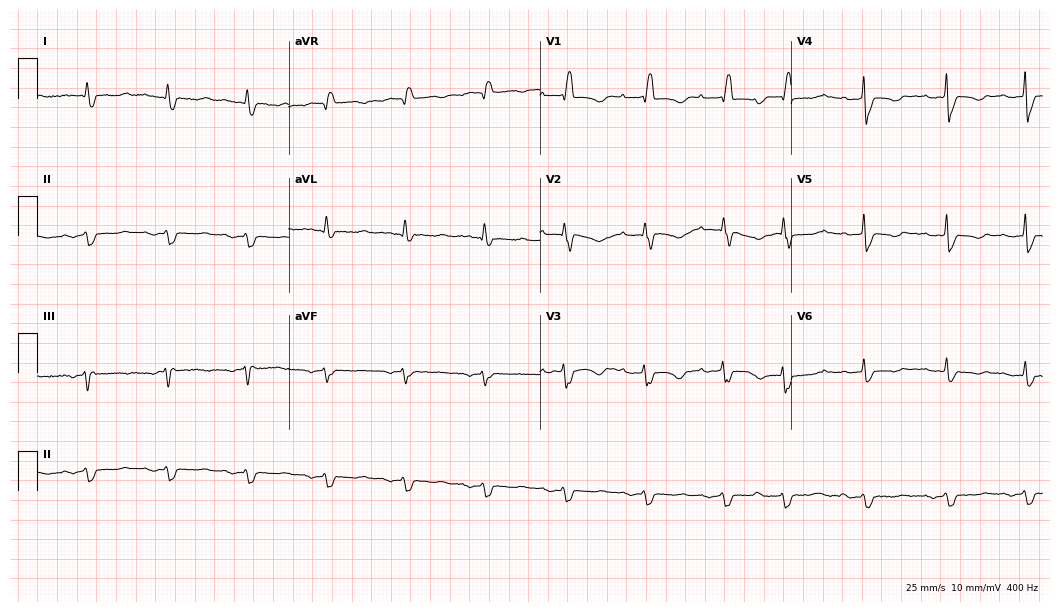
12-lead ECG from a woman, 79 years old. No first-degree AV block, right bundle branch block, left bundle branch block, sinus bradycardia, atrial fibrillation or sinus tachycardia recorded for this tracing.